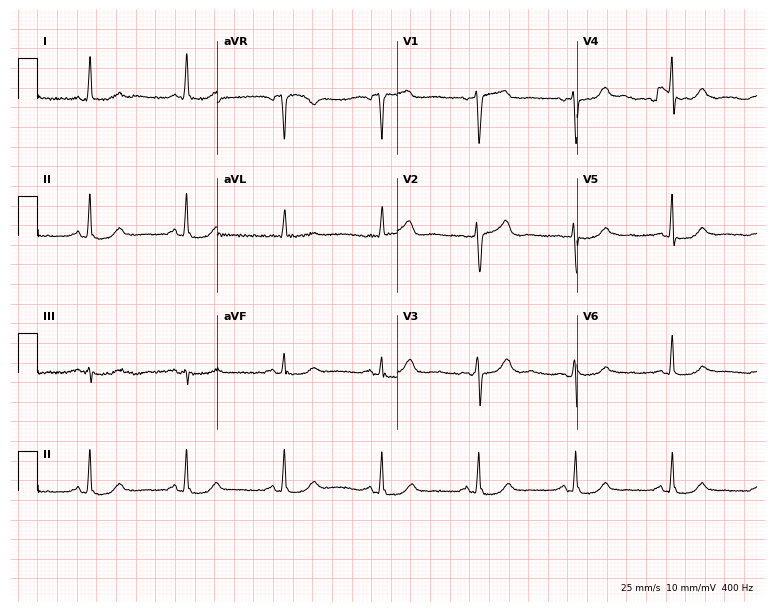
Standard 12-lead ECG recorded from a woman, 65 years old. None of these six findings is recorded: first-degree AV block, right bundle branch block, left bundle branch block, sinus bradycardia, atrial fibrillation, sinus tachycardia.